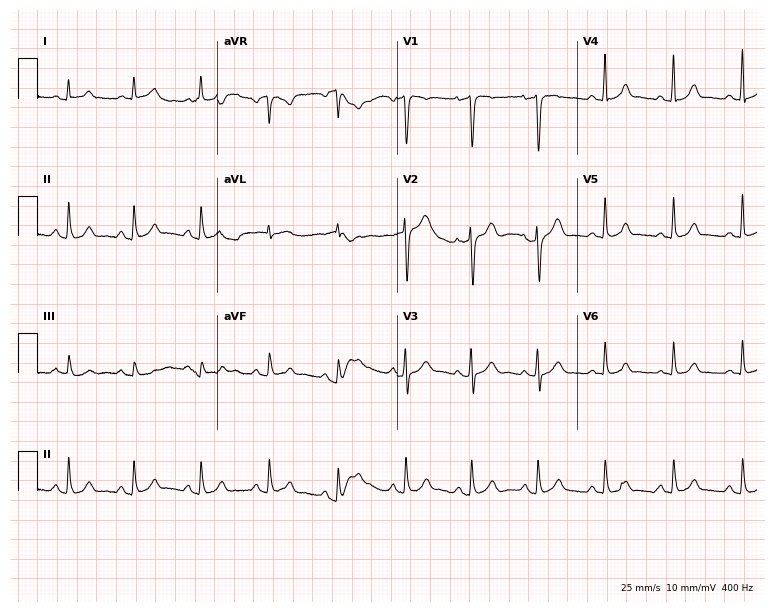
ECG — a male, 52 years old. Labelled as a normal ECG.